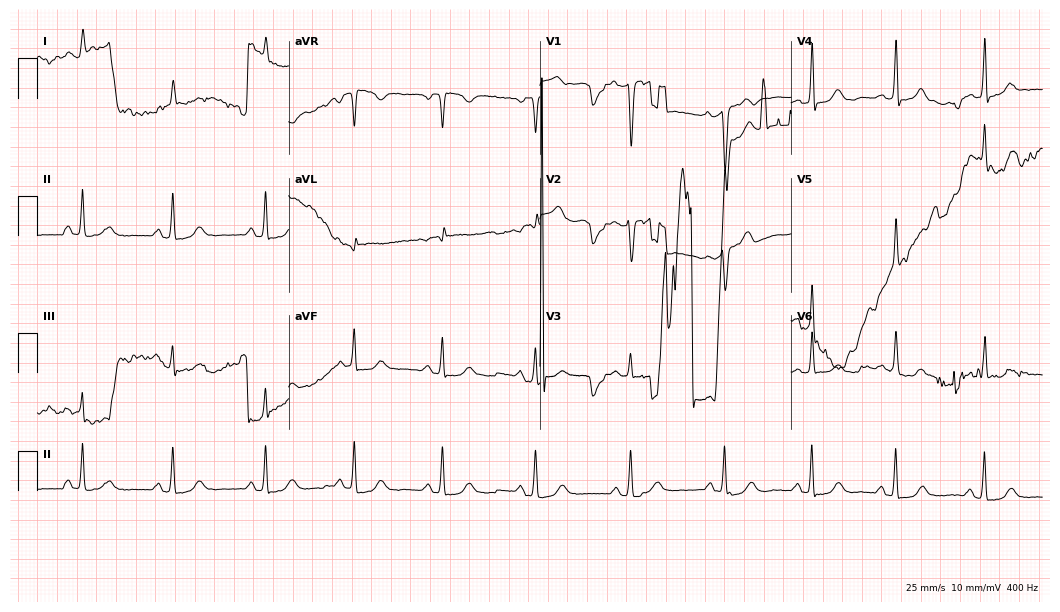
Electrocardiogram, a female patient, 58 years old. Of the six screened findings (first-degree AV block, right bundle branch block (RBBB), left bundle branch block (LBBB), sinus bradycardia, atrial fibrillation (AF), sinus tachycardia), none is recorded. Only these six findings were labelled.